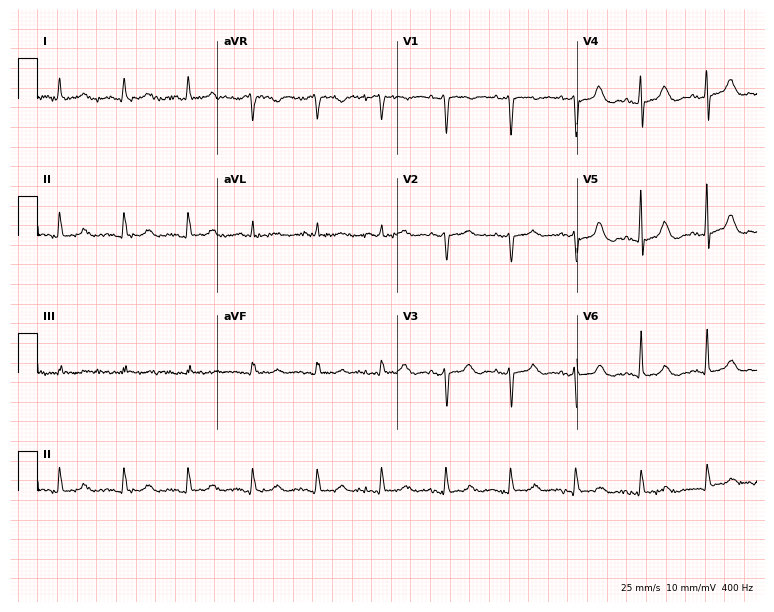
ECG (7.3-second recording at 400 Hz) — a female patient, 76 years old. Labelled as a normal ECG.